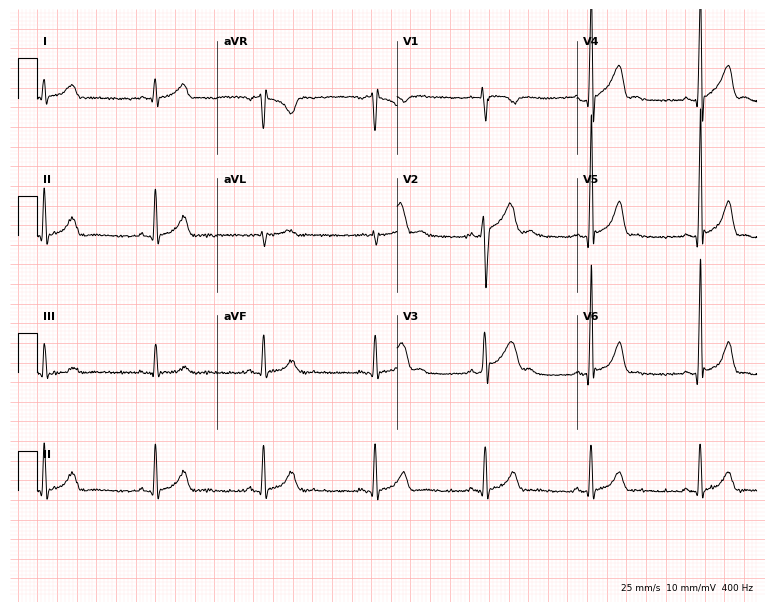
Electrocardiogram, a 17-year-old male patient. Overall reading on record: normal ECG.